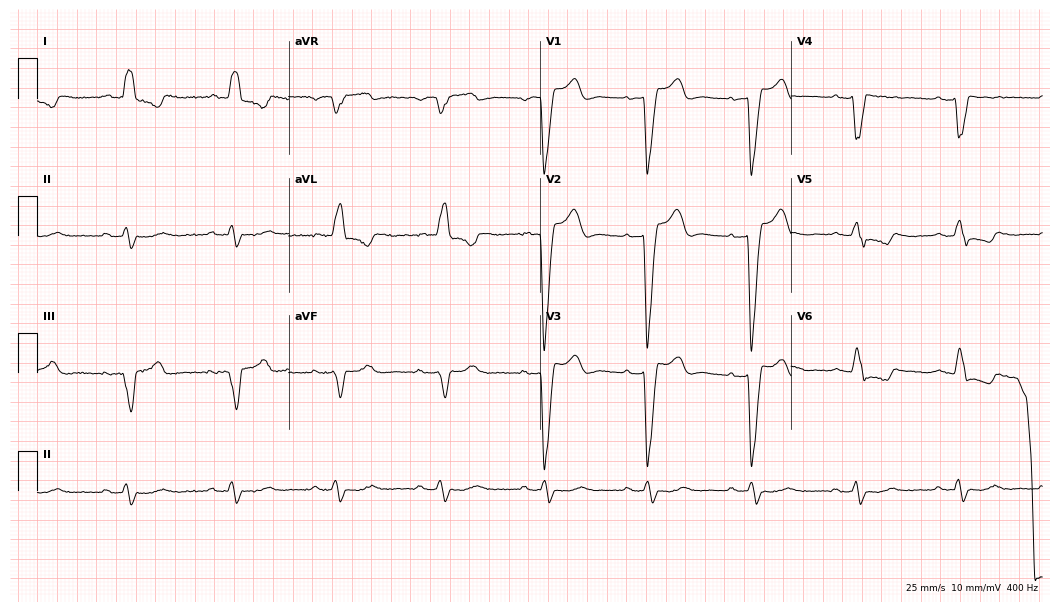
ECG — a male patient, 74 years old. Findings include left bundle branch block.